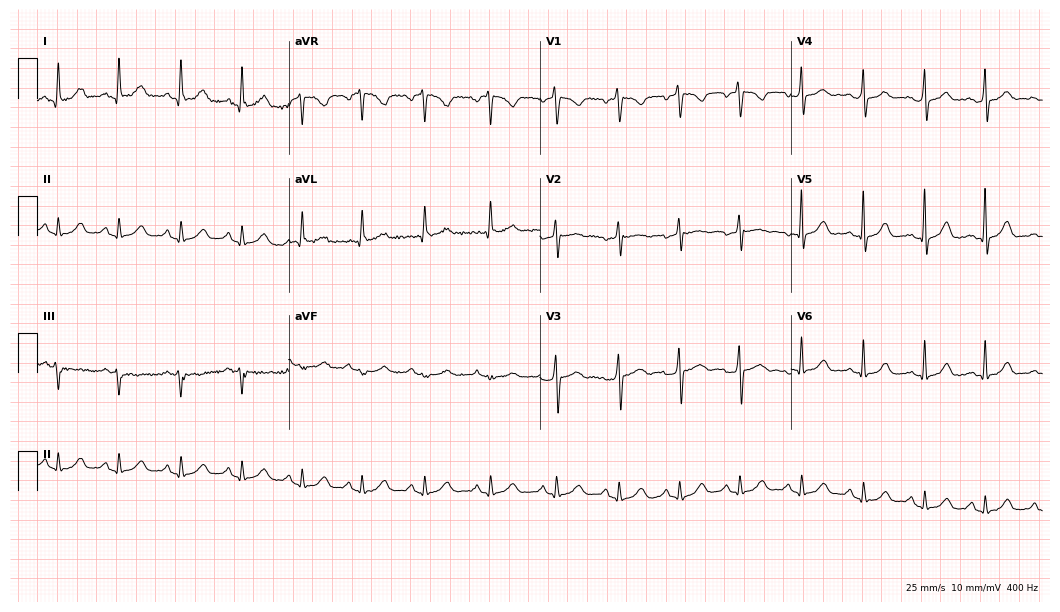
12-lead ECG from a female, 50 years old. Labelled as a normal ECG.